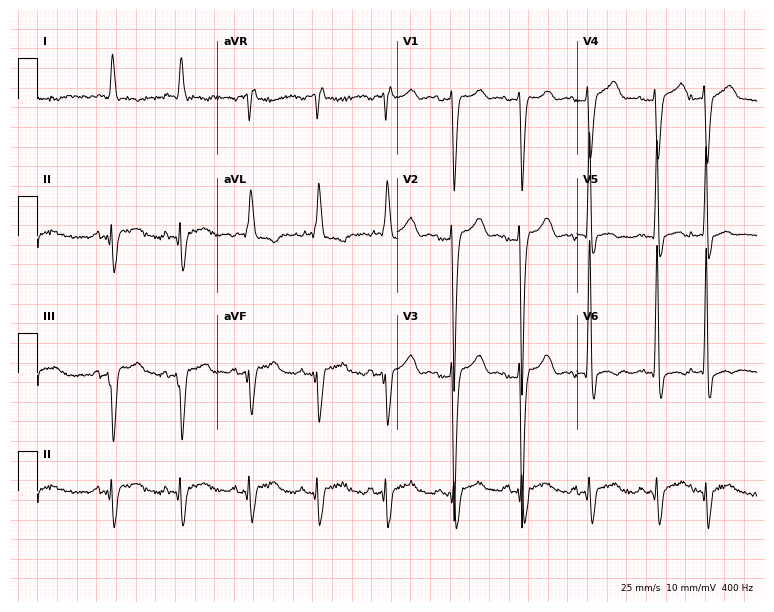
Standard 12-lead ECG recorded from a 78-year-old female patient (7.3-second recording at 400 Hz). None of these six findings is recorded: first-degree AV block, right bundle branch block (RBBB), left bundle branch block (LBBB), sinus bradycardia, atrial fibrillation (AF), sinus tachycardia. Other findings, if any, are not listed.